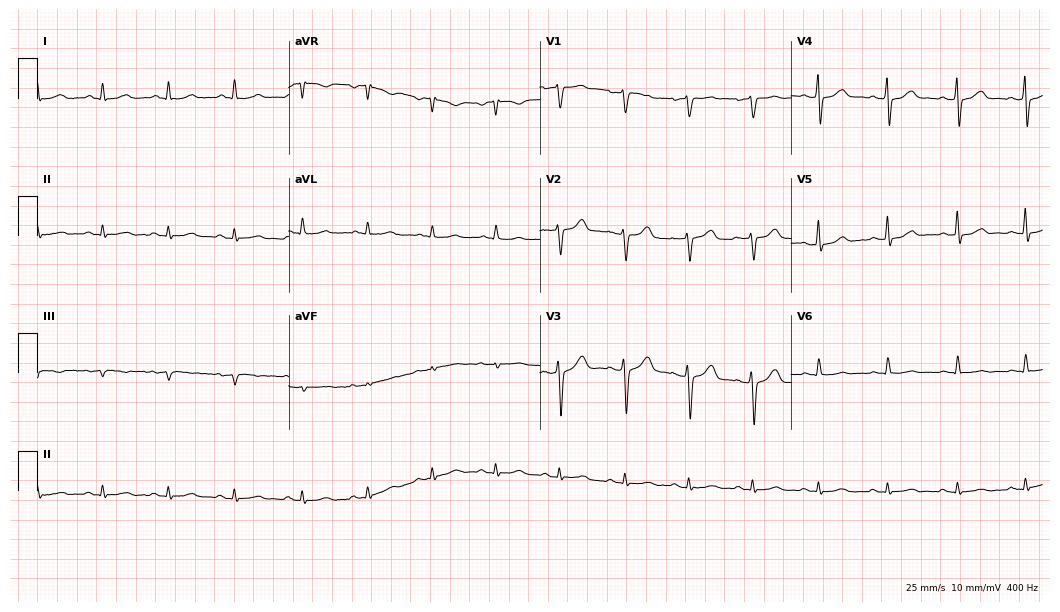
Electrocardiogram, a 42-year-old male patient. Overall reading on record: normal ECG.